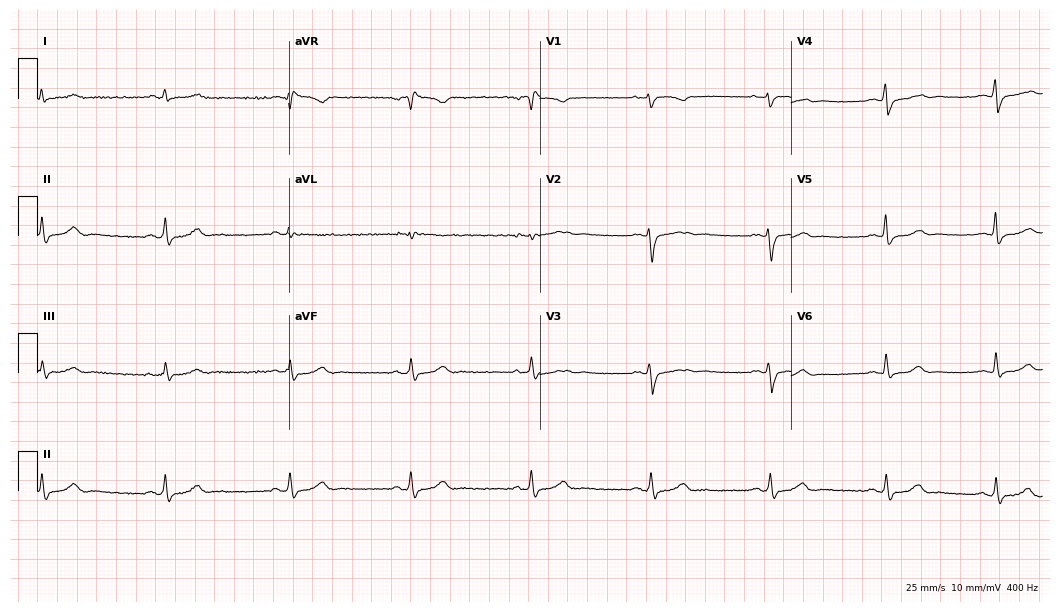
Electrocardiogram (10.2-second recording at 400 Hz), a 45-year-old female patient. Of the six screened findings (first-degree AV block, right bundle branch block (RBBB), left bundle branch block (LBBB), sinus bradycardia, atrial fibrillation (AF), sinus tachycardia), none is recorded. Findings outside these six are not listed.